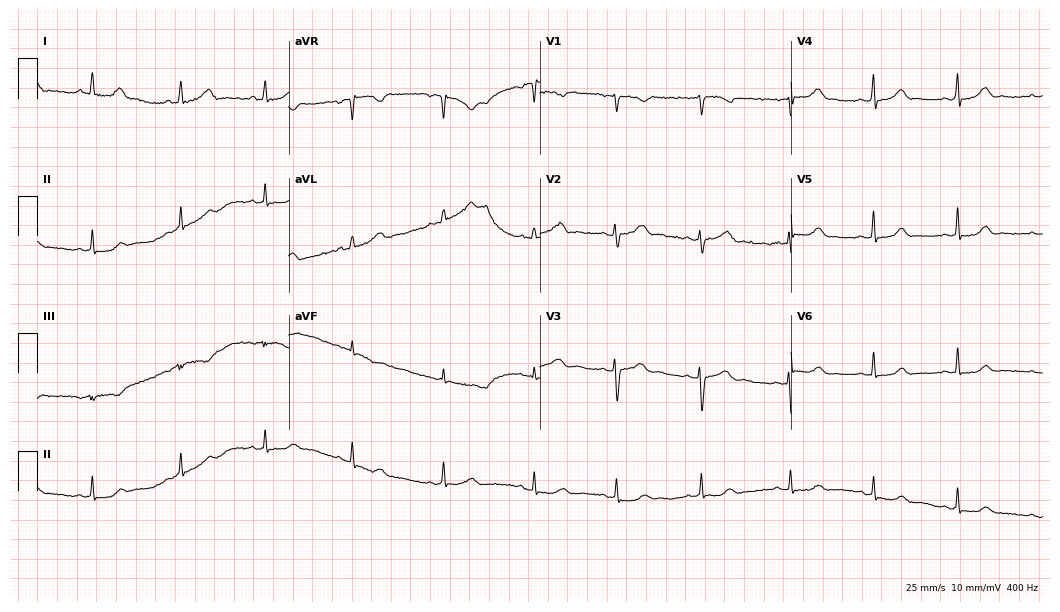
Resting 12-lead electrocardiogram (10.2-second recording at 400 Hz). Patient: a 26-year-old female. Read as a normal ECG.